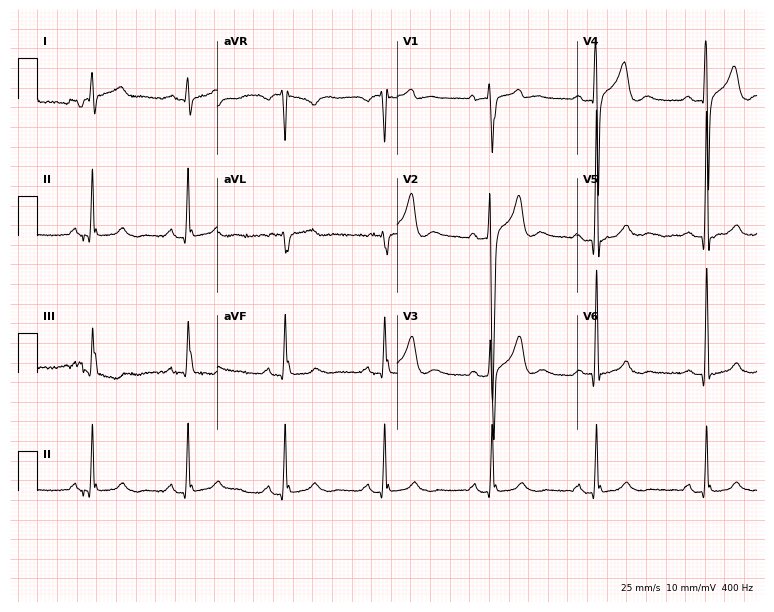
Standard 12-lead ECG recorded from a male, 35 years old (7.3-second recording at 400 Hz). Read as a normal ECG.